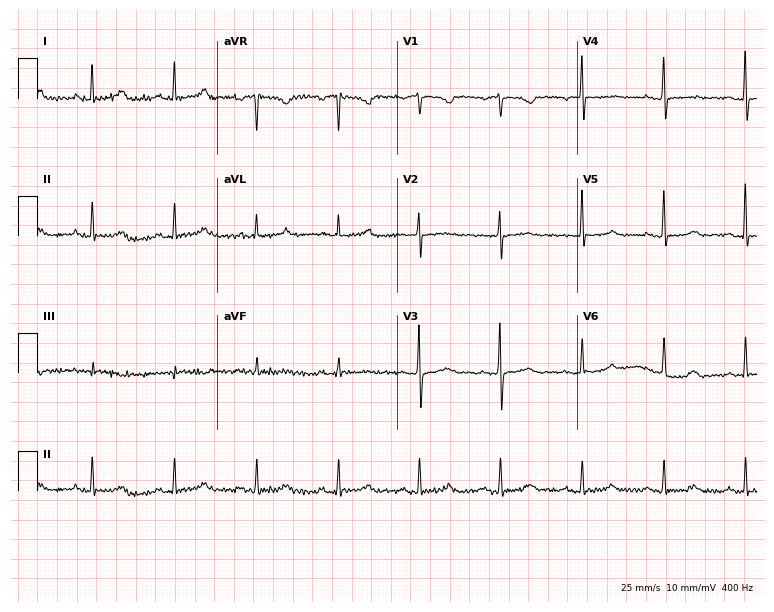
12-lead ECG from a 73-year-old woman. Labelled as a normal ECG.